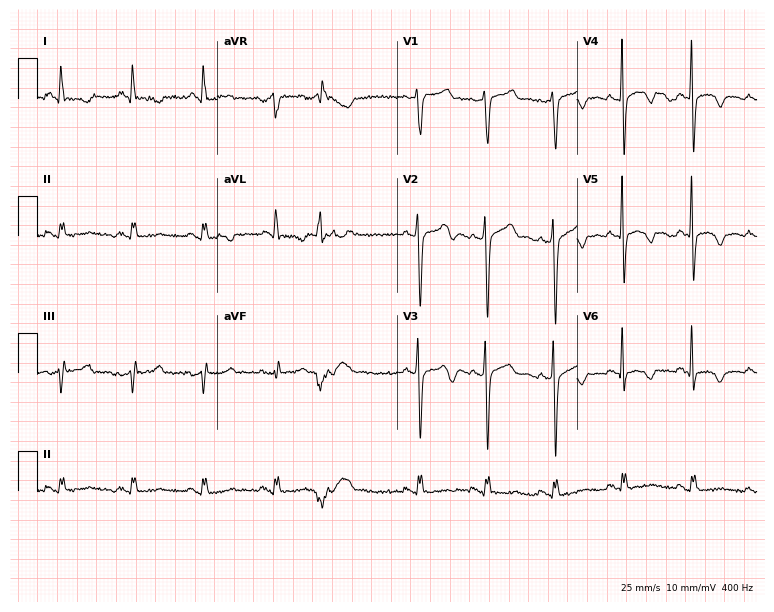
Standard 12-lead ECG recorded from a man, 65 years old. None of these six findings is recorded: first-degree AV block, right bundle branch block (RBBB), left bundle branch block (LBBB), sinus bradycardia, atrial fibrillation (AF), sinus tachycardia.